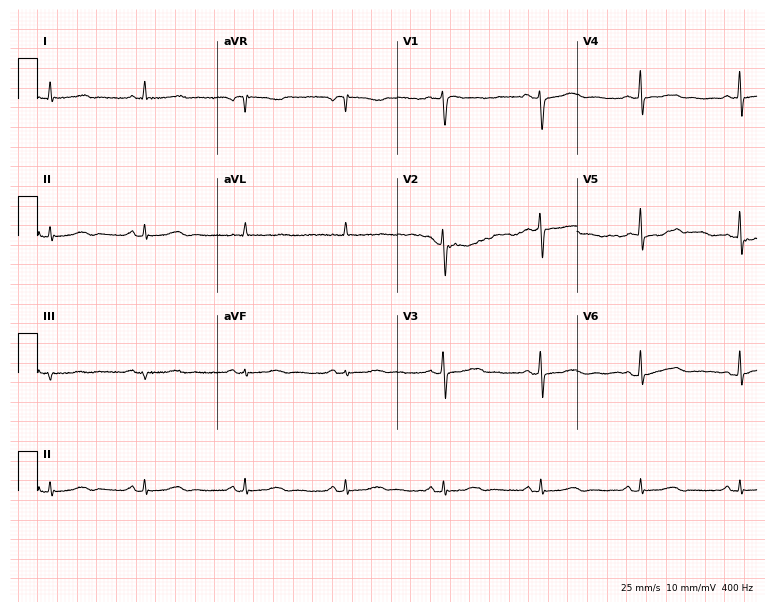
Resting 12-lead electrocardiogram (7.3-second recording at 400 Hz). Patient: a 59-year-old female. None of these six findings is recorded: first-degree AV block, right bundle branch block (RBBB), left bundle branch block (LBBB), sinus bradycardia, atrial fibrillation (AF), sinus tachycardia. Only these six findings were labelled.